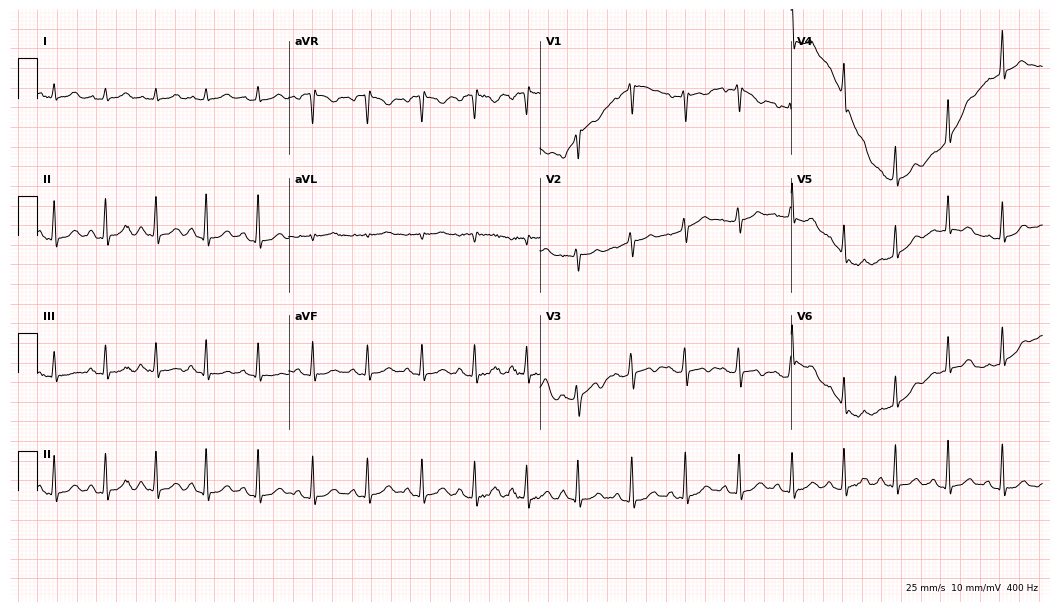
ECG — a 19-year-old female patient. Findings include sinus tachycardia (a sinus rate of 100 beats per minute or more).